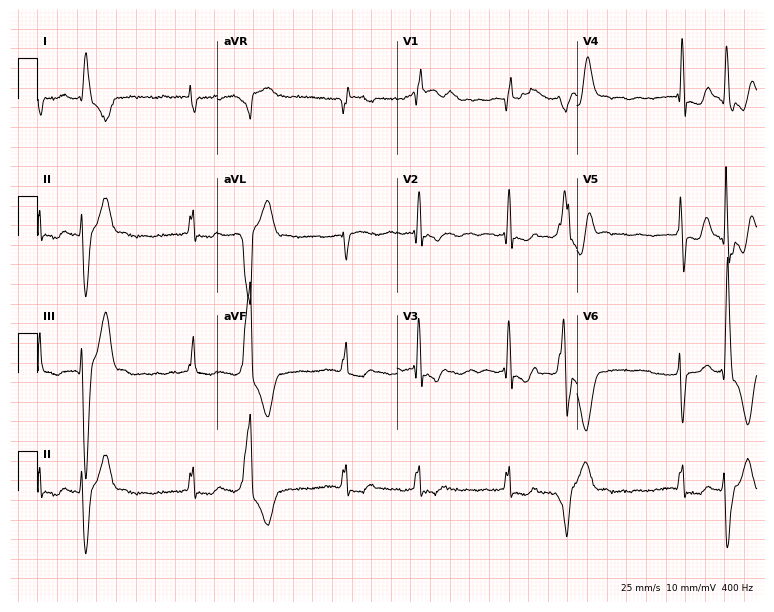
Electrocardiogram (7.3-second recording at 400 Hz), a female patient, 66 years old. Of the six screened findings (first-degree AV block, right bundle branch block (RBBB), left bundle branch block (LBBB), sinus bradycardia, atrial fibrillation (AF), sinus tachycardia), none is recorded.